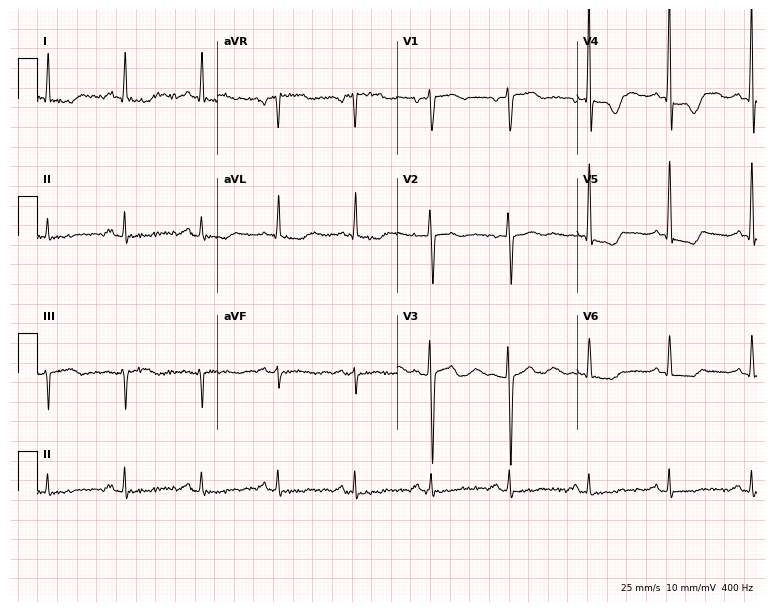
12-lead ECG (7.3-second recording at 400 Hz) from a 73-year-old male. Screened for six findings — first-degree AV block, right bundle branch block (RBBB), left bundle branch block (LBBB), sinus bradycardia, atrial fibrillation (AF), sinus tachycardia — none is recorded.